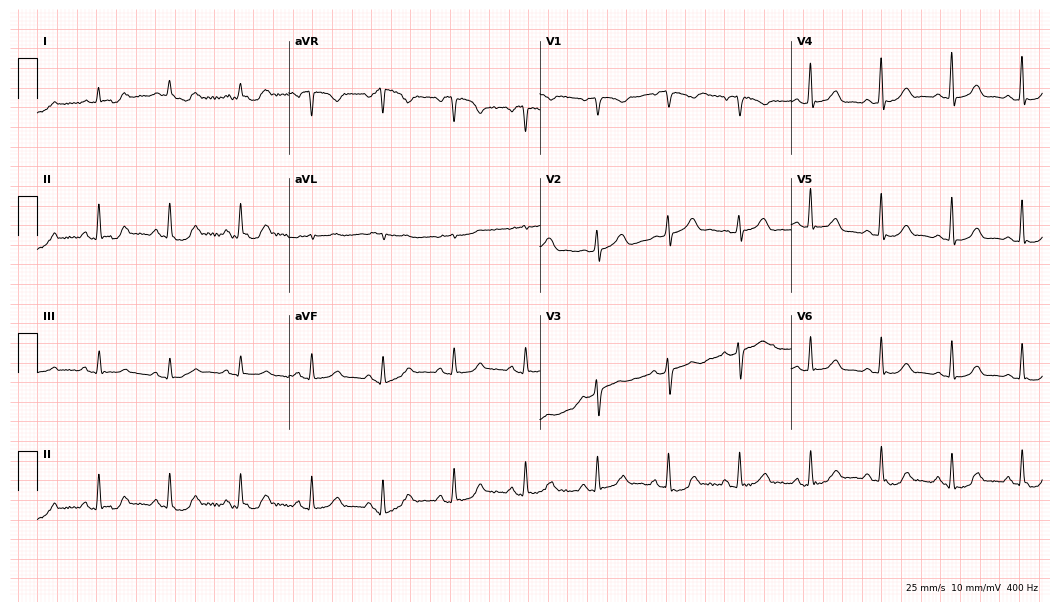
12-lead ECG (10.2-second recording at 400 Hz) from a 69-year-old female. Labelled as a normal ECG.